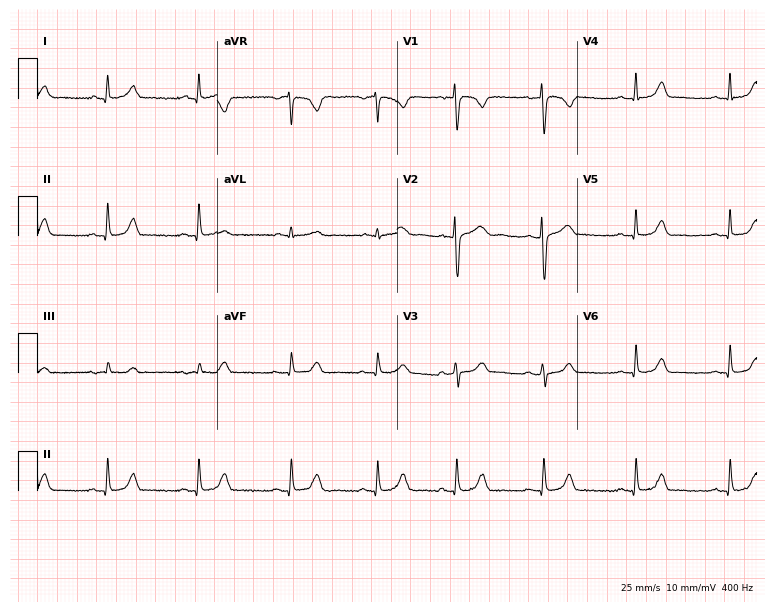
Electrocardiogram, a female patient, 33 years old. Overall reading on record: normal ECG.